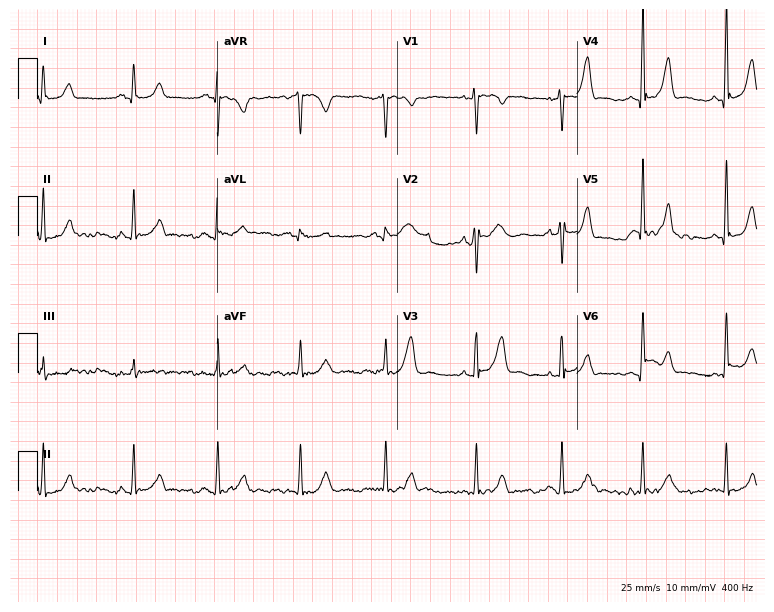
12-lead ECG from a female, 30 years old. Labelled as a normal ECG.